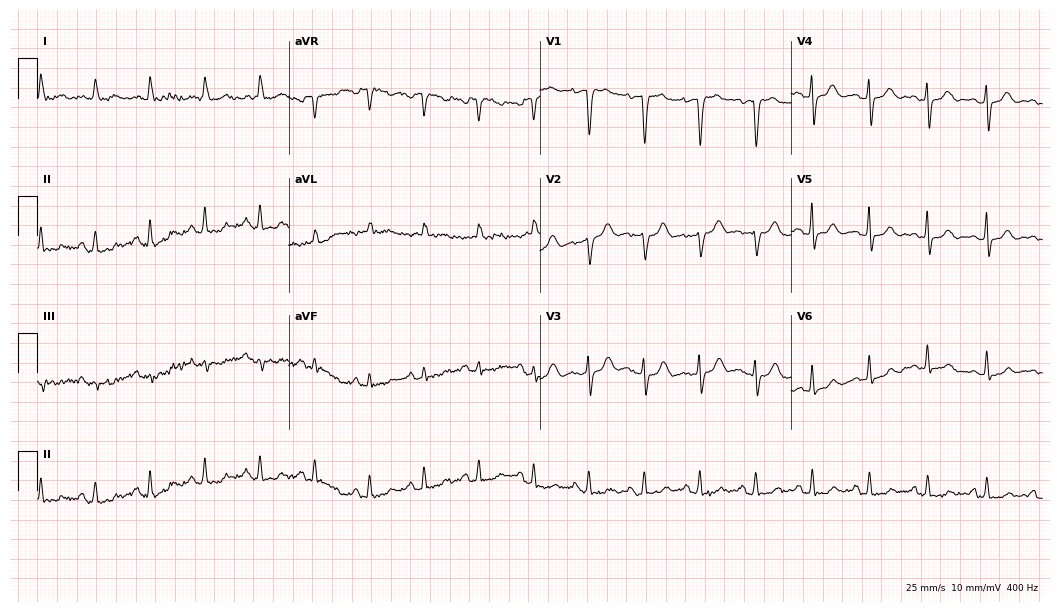
Resting 12-lead electrocardiogram (10.2-second recording at 400 Hz). Patient: a female, 72 years old. The tracing shows sinus tachycardia (a sinus rate of 100 beats per minute or more).